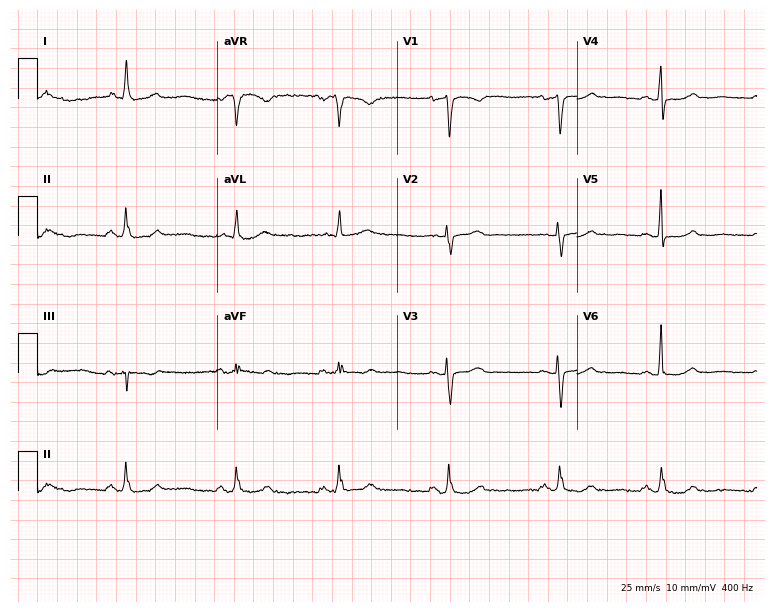
12-lead ECG (7.3-second recording at 400 Hz) from a female patient, 77 years old. Labelled as a normal ECG.